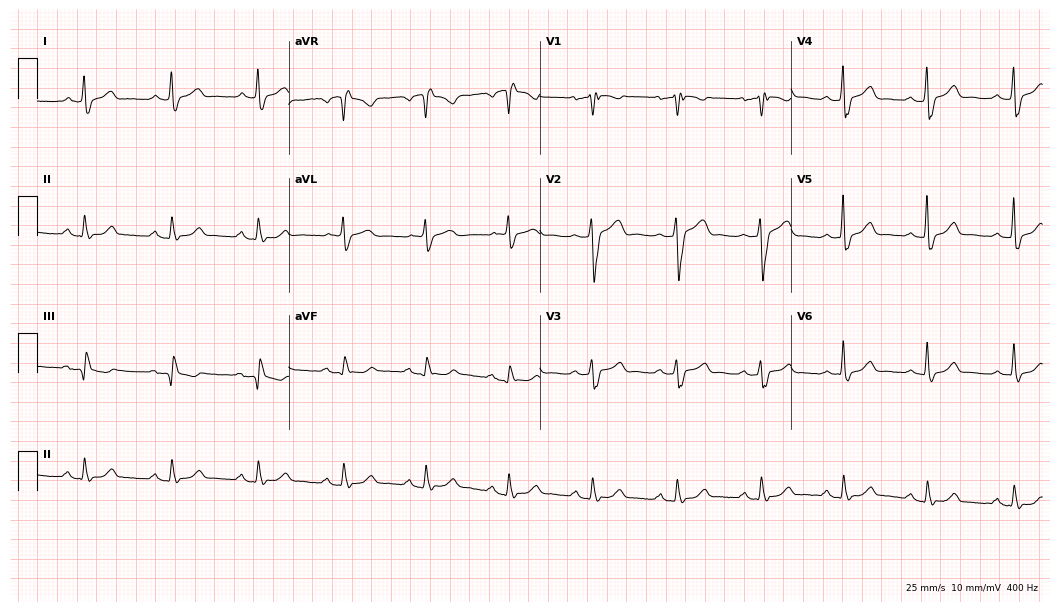
12-lead ECG from a 49-year-old male. No first-degree AV block, right bundle branch block, left bundle branch block, sinus bradycardia, atrial fibrillation or sinus tachycardia recorded for this tracing. Other findings, if any, are not listed.